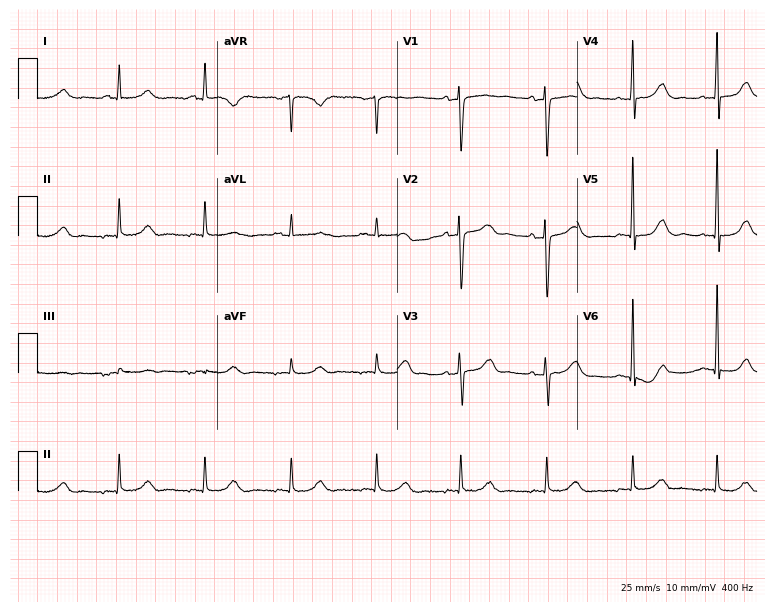
12-lead ECG (7.3-second recording at 400 Hz) from a female patient, 68 years old. Labelled as a normal ECG.